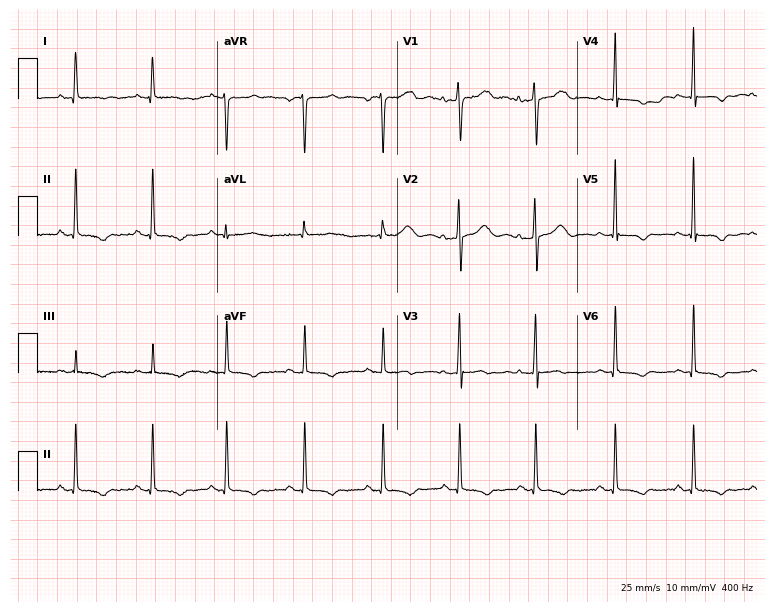
Resting 12-lead electrocardiogram. Patient: a 36-year-old female. Read as a normal ECG.